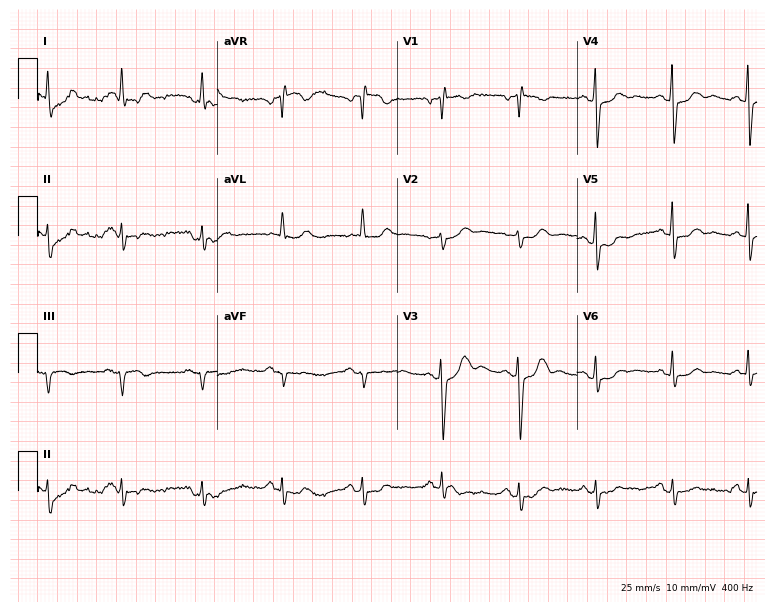
Standard 12-lead ECG recorded from a 57-year-old male patient. None of these six findings is recorded: first-degree AV block, right bundle branch block, left bundle branch block, sinus bradycardia, atrial fibrillation, sinus tachycardia. Only these six findings were labelled.